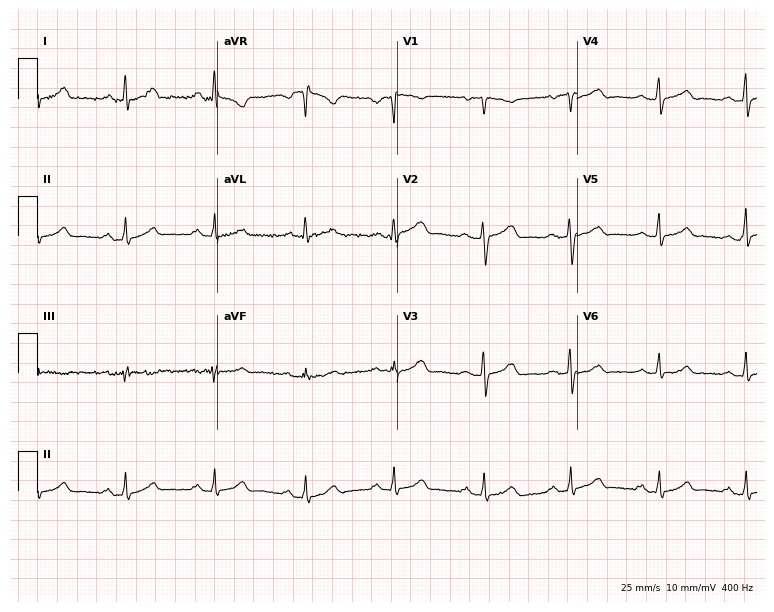
12-lead ECG (7.3-second recording at 400 Hz) from a woman, 35 years old. Labelled as a normal ECG.